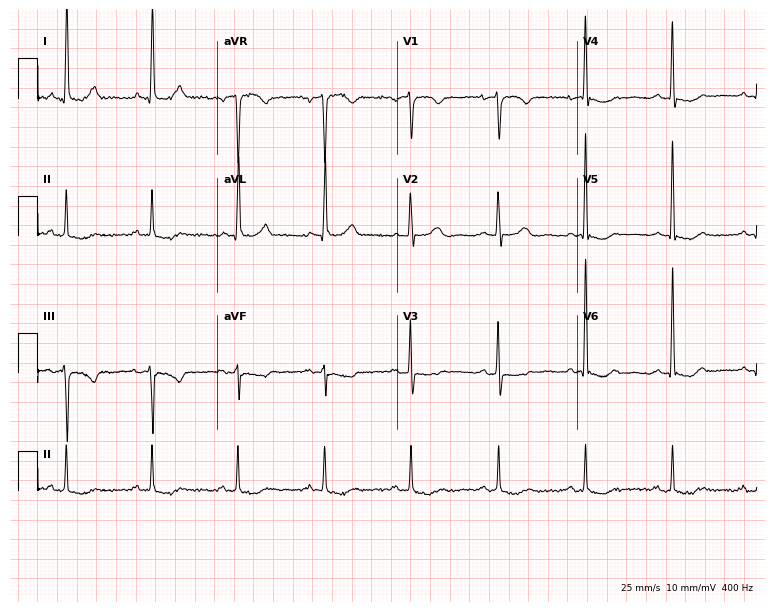
12-lead ECG from a 69-year-old woman. Screened for six findings — first-degree AV block, right bundle branch block, left bundle branch block, sinus bradycardia, atrial fibrillation, sinus tachycardia — none is recorded.